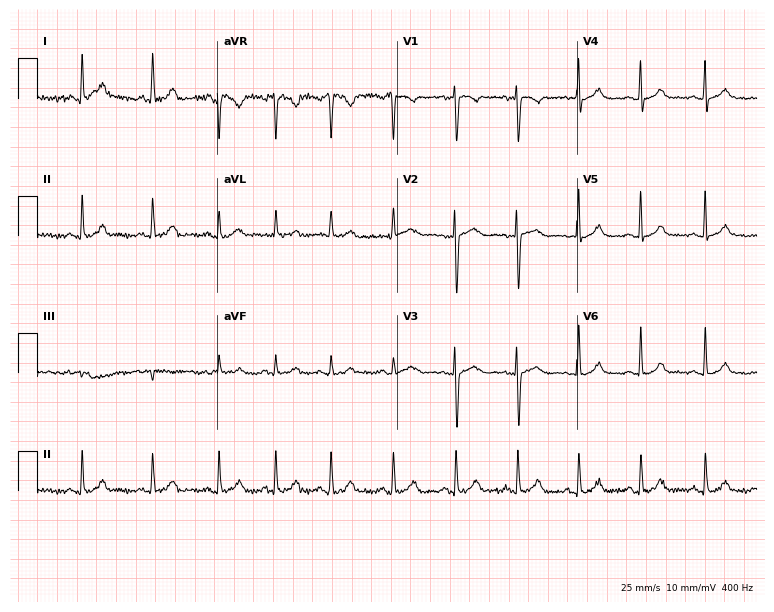
ECG — a woman, 33 years old. Screened for six findings — first-degree AV block, right bundle branch block (RBBB), left bundle branch block (LBBB), sinus bradycardia, atrial fibrillation (AF), sinus tachycardia — none is recorded.